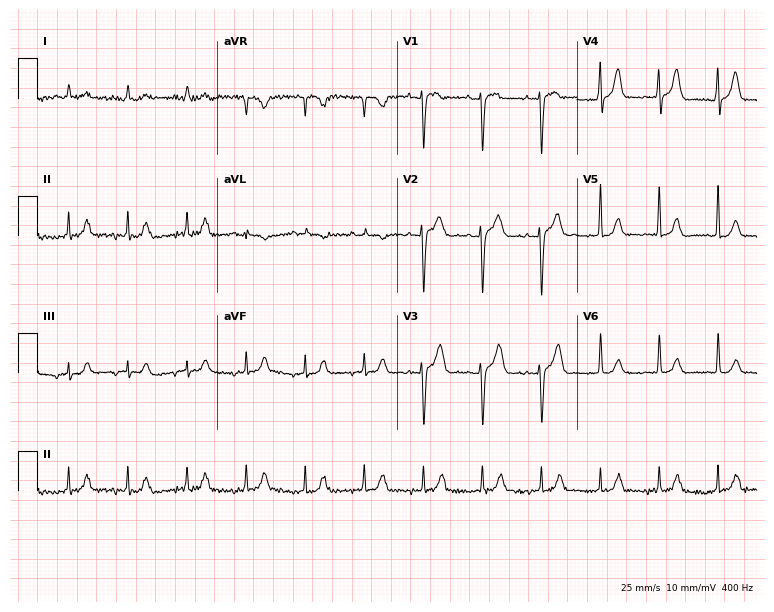
Standard 12-lead ECG recorded from a female patient, 73 years old. Read as a normal ECG.